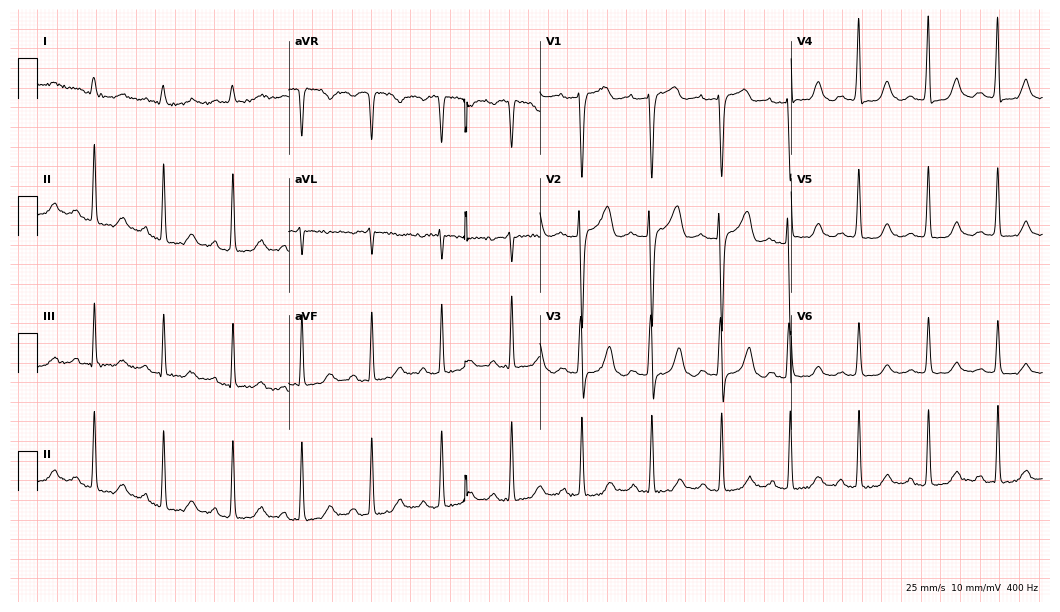
Resting 12-lead electrocardiogram (10.2-second recording at 400 Hz). Patient: a female, 61 years old. Read as a normal ECG.